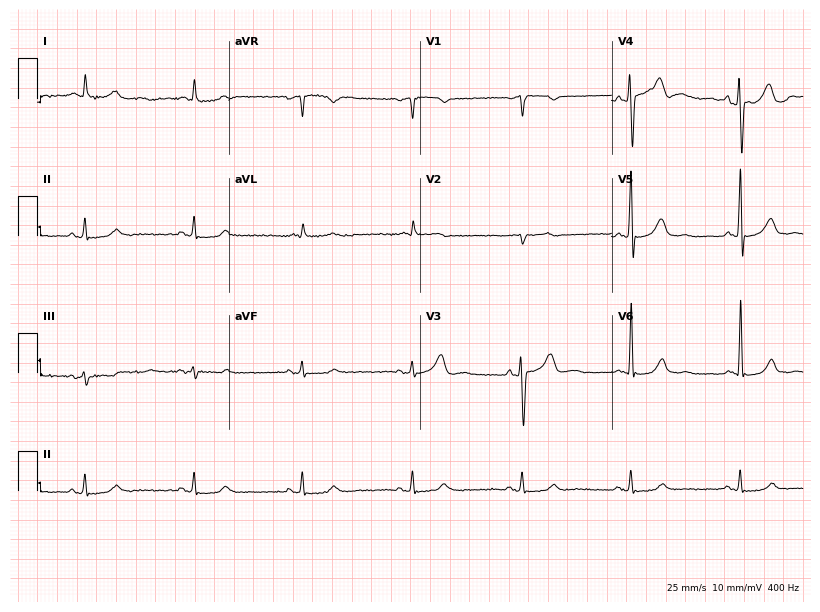
ECG — a male patient, 72 years old. Labelled as a normal ECG.